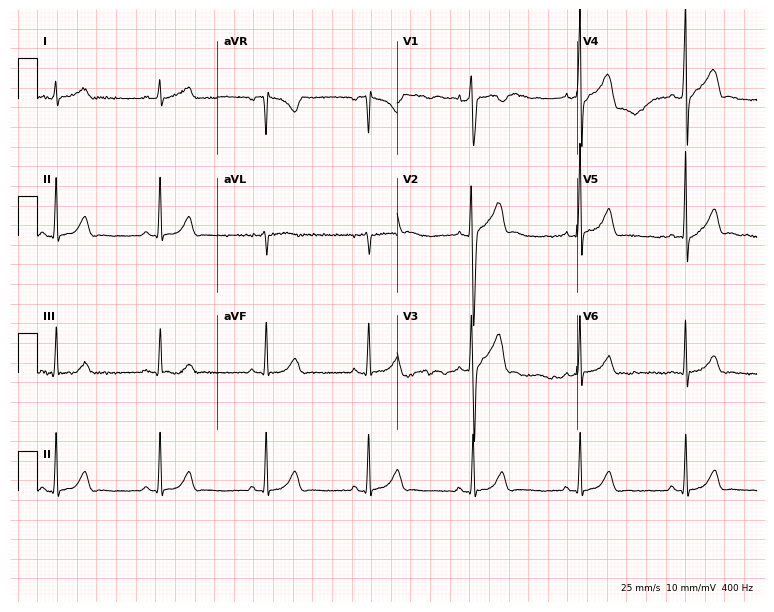
Resting 12-lead electrocardiogram. Patient: a man, 18 years old. Read as a normal ECG.